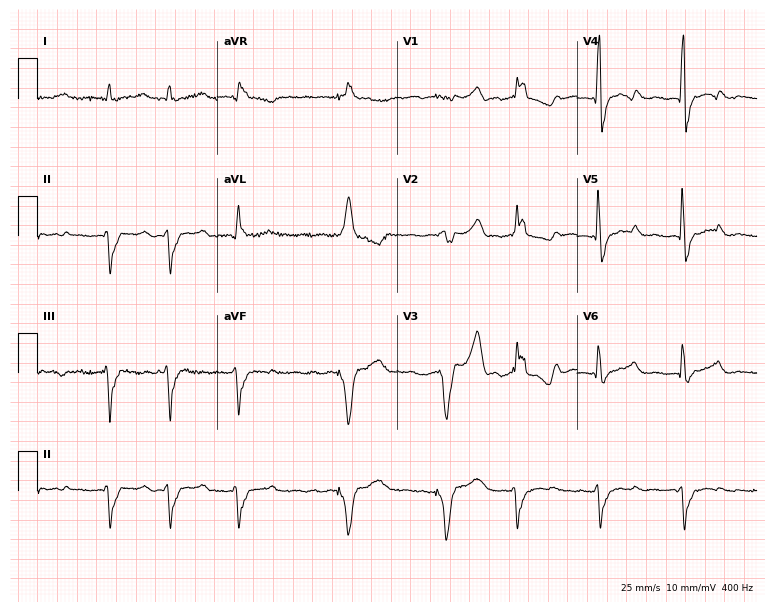
12-lead ECG from a male patient, 80 years old. Screened for six findings — first-degree AV block, right bundle branch block, left bundle branch block, sinus bradycardia, atrial fibrillation, sinus tachycardia — none is recorded. Findings outside these six are not listed.